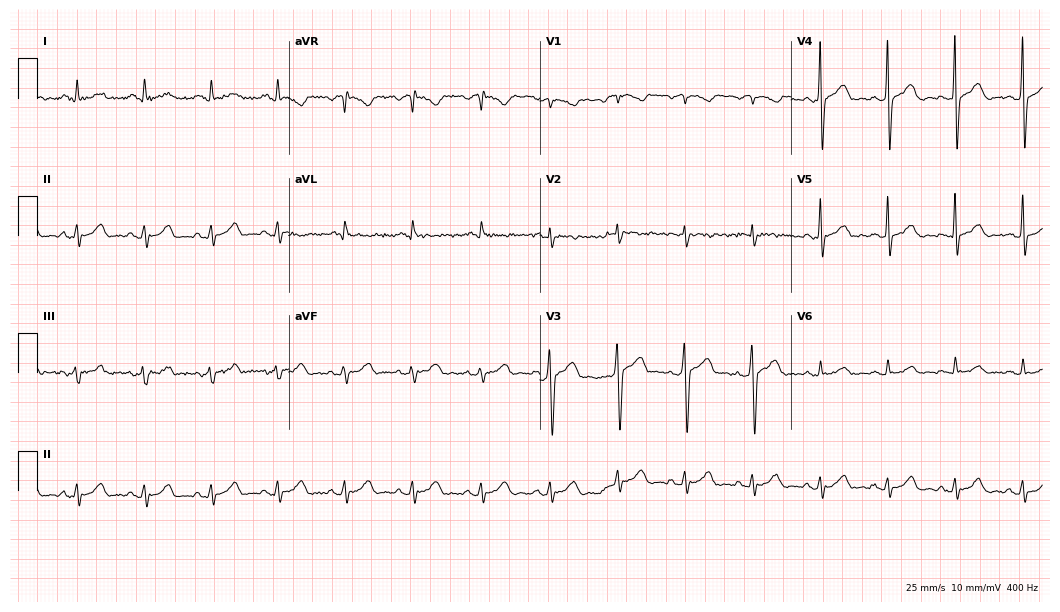
12-lead ECG from a 52-year-old male (10.2-second recording at 400 Hz). No first-degree AV block, right bundle branch block (RBBB), left bundle branch block (LBBB), sinus bradycardia, atrial fibrillation (AF) or sinus tachycardia recorded for this tracing.